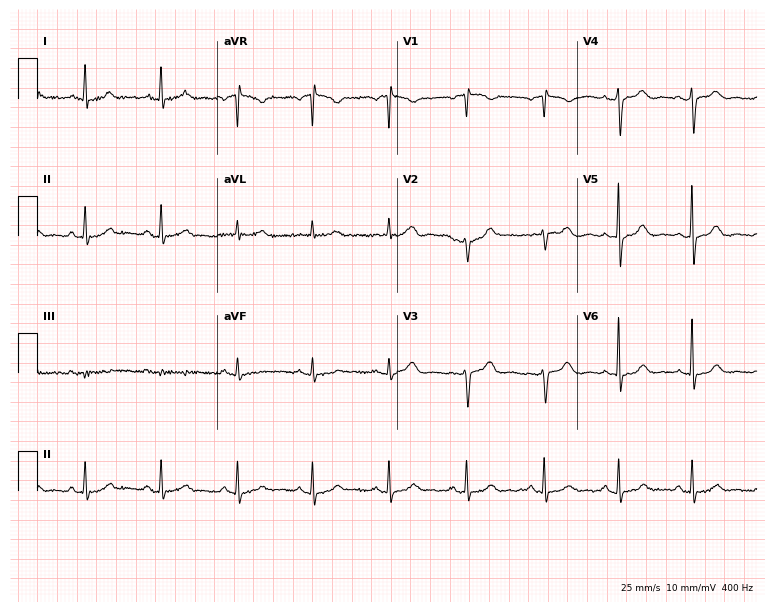
Resting 12-lead electrocardiogram (7.3-second recording at 400 Hz). Patient: a 74-year-old female. None of these six findings is recorded: first-degree AV block, right bundle branch block, left bundle branch block, sinus bradycardia, atrial fibrillation, sinus tachycardia.